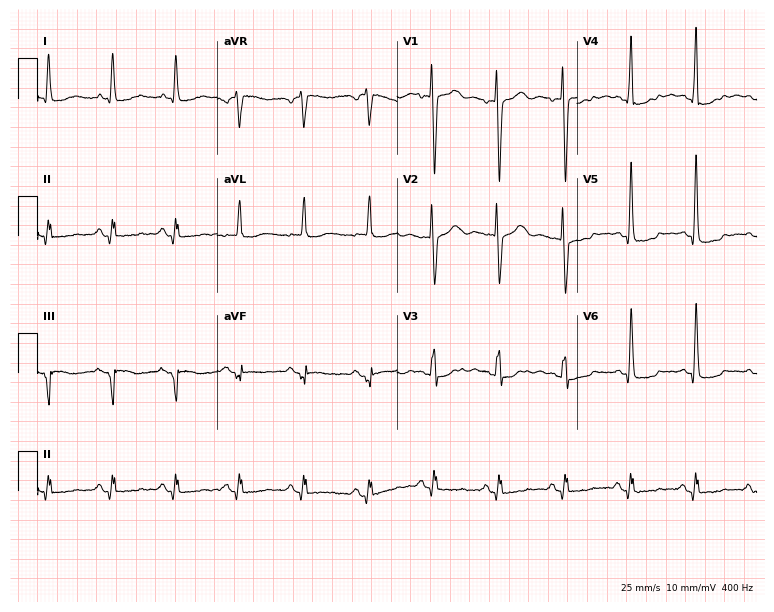
12-lead ECG from a woman, 54 years old. No first-degree AV block, right bundle branch block, left bundle branch block, sinus bradycardia, atrial fibrillation or sinus tachycardia recorded for this tracing. Only these six findings were labelled.